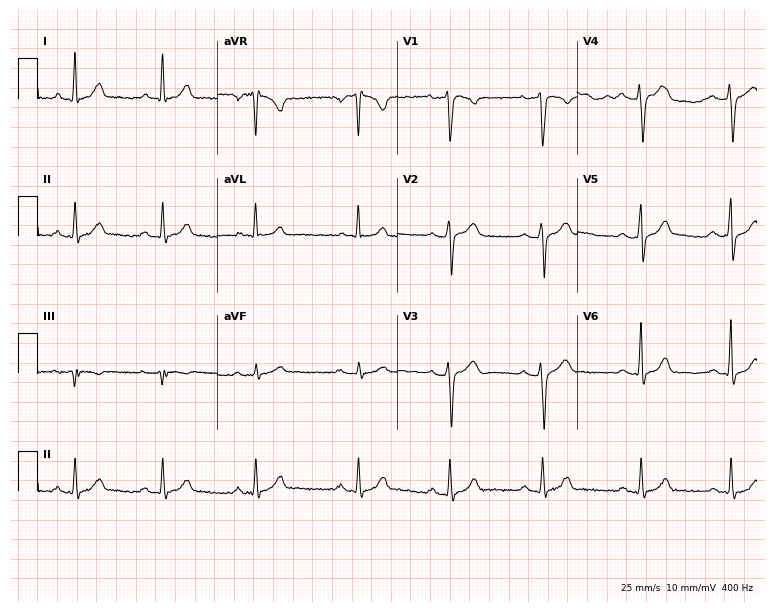
12-lead ECG from a male patient, 23 years old (7.3-second recording at 400 Hz). Recorded interpretation: within normal limits.